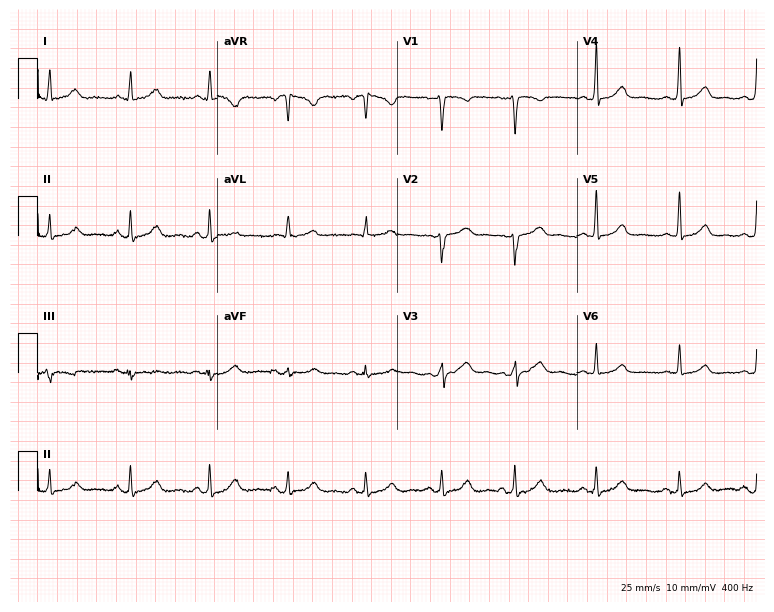
ECG (7.3-second recording at 400 Hz) — a female patient, 36 years old. Labelled as a normal ECG.